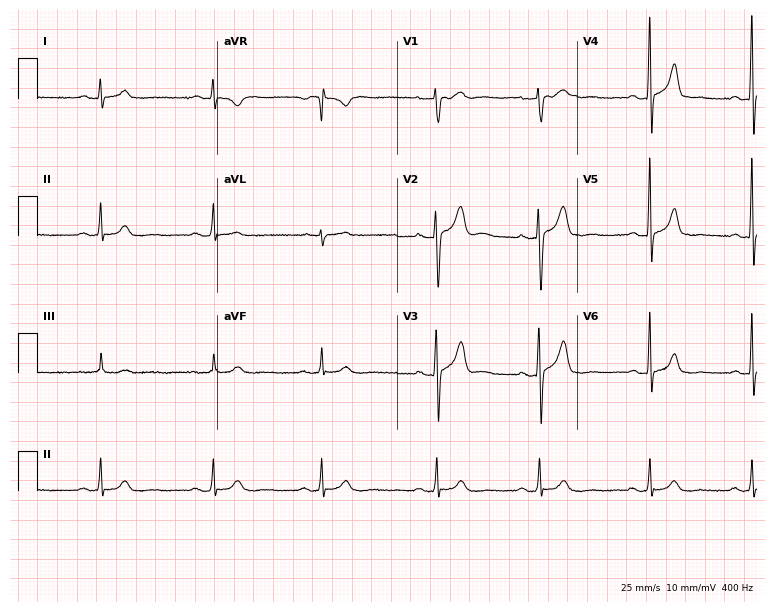
12-lead ECG from a male, 45 years old. Labelled as a normal ECG.